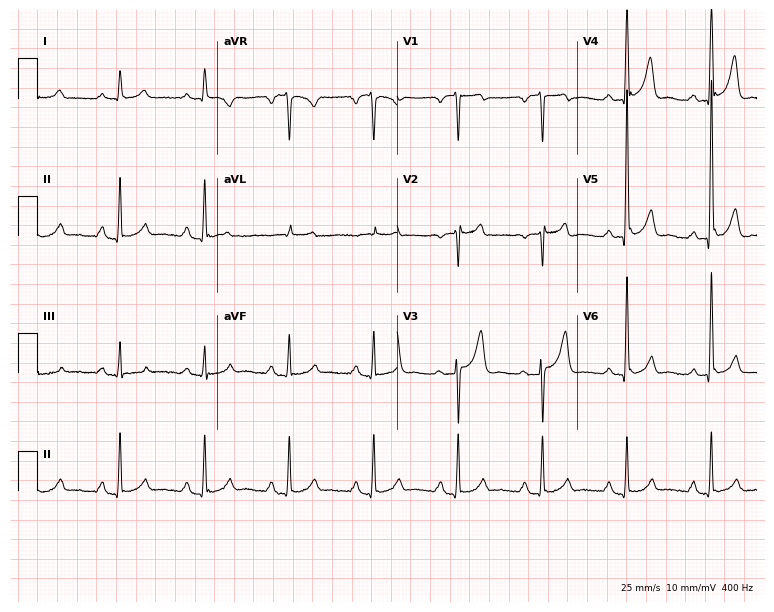
12-lead ECG from a male patient, 74 years old (7.3-second recording at 400 Hz). Recorded interpretation: within normal limits.